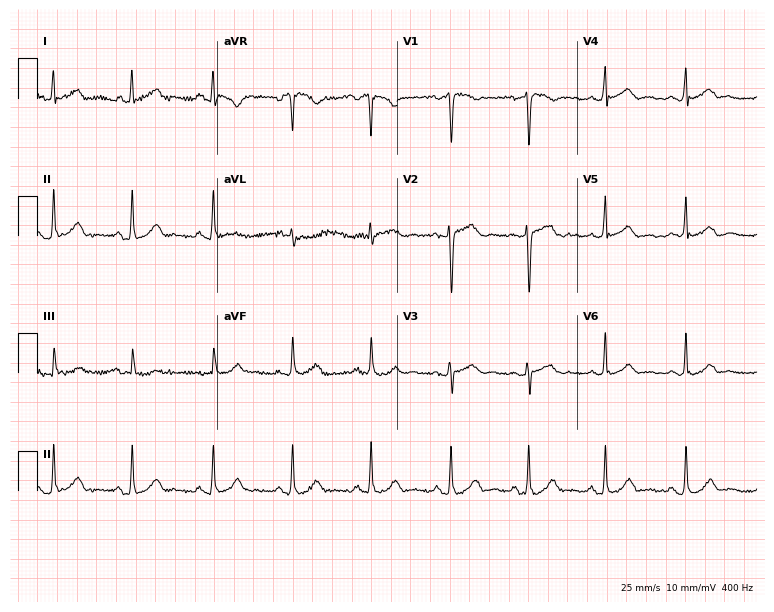
Resting 12-lead electrocardiogram. Patient: a 28-year-old female. Read as a normal ECG.